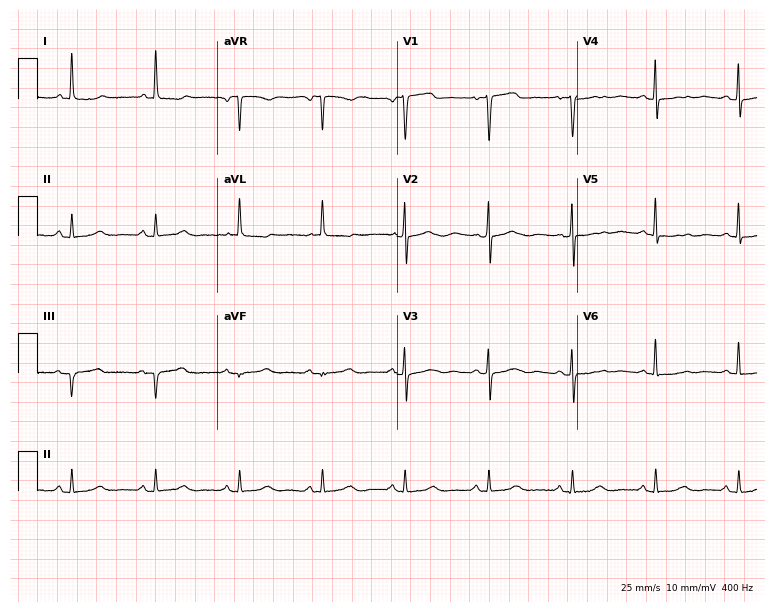
12-lead ECG from a female patient, 66 years old (7.3-second recording at 400 Hz). Recorded interpretation: within normal limits.